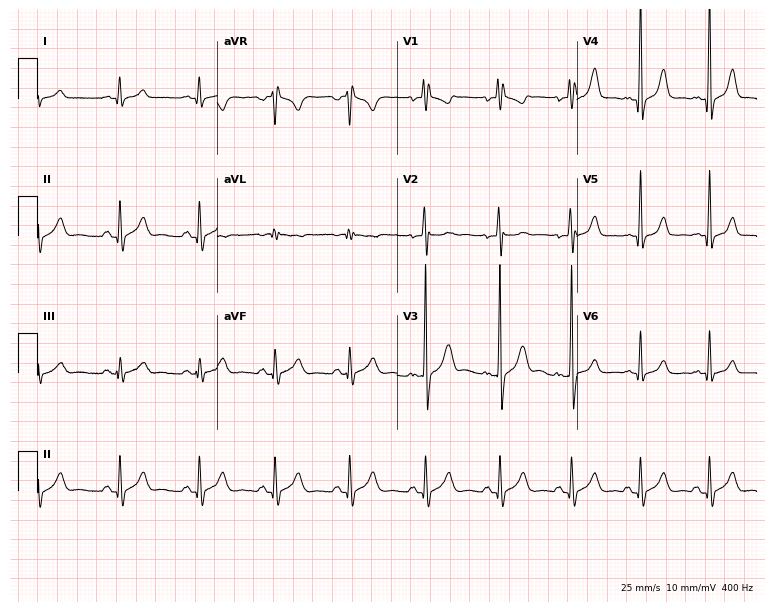
Electrocardiogram (7.3-second recording at 400 Hz), a 19-year-old man. Overall reading on record: normal ECG.